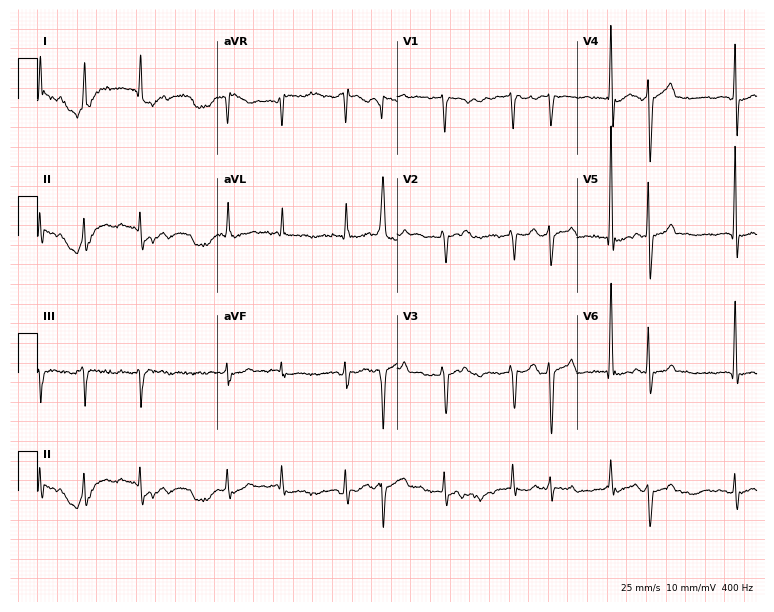
Electrocardiogram (7.3-second recording at 400 Hz), a male patient, 66 years old. Interpretation includes atrial fibrillation.